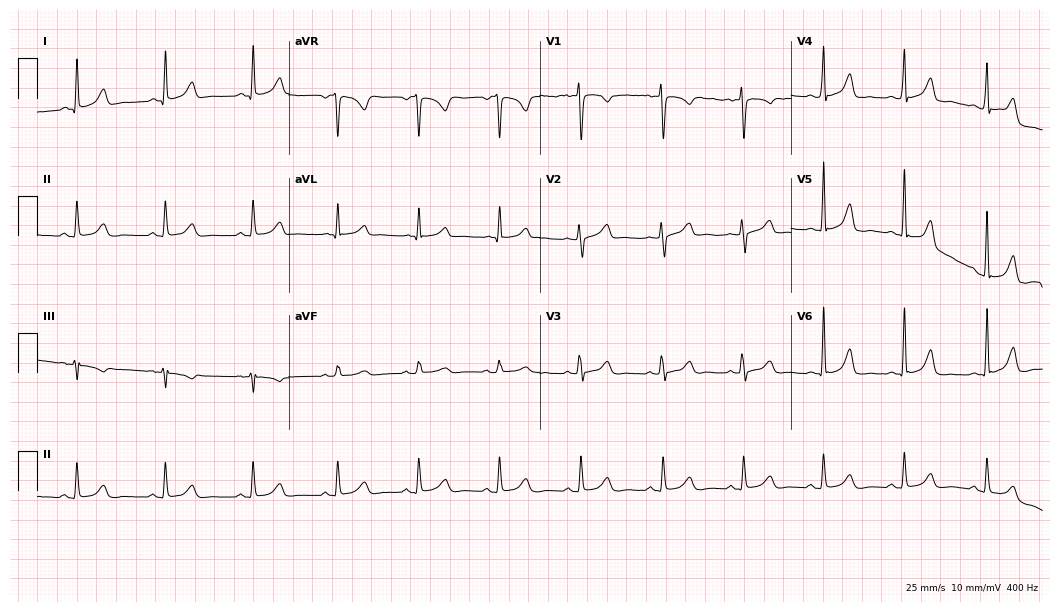
Electrocardiogram (10.2-second recording at 400 Hz), a female patient, 41 years old. Overall reading on record: normal ECG.